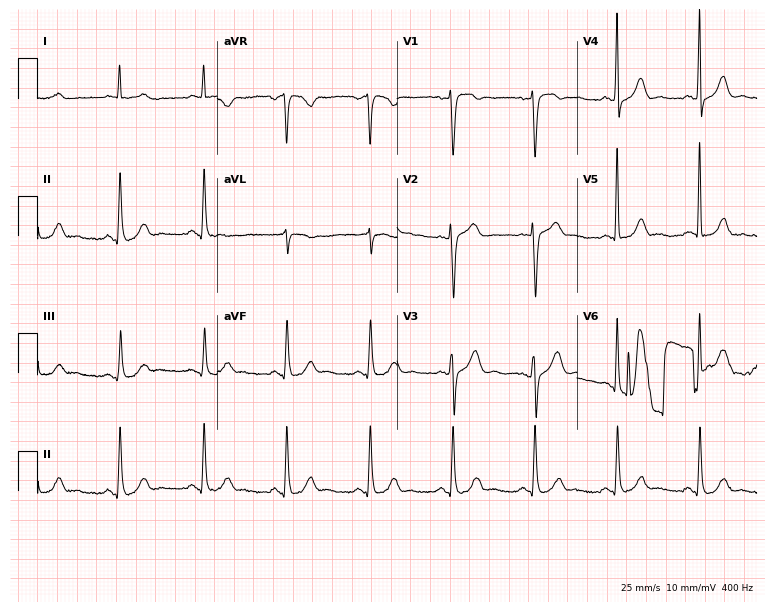
ECG — a man, 61 years old. Labelled as a normal ECG.